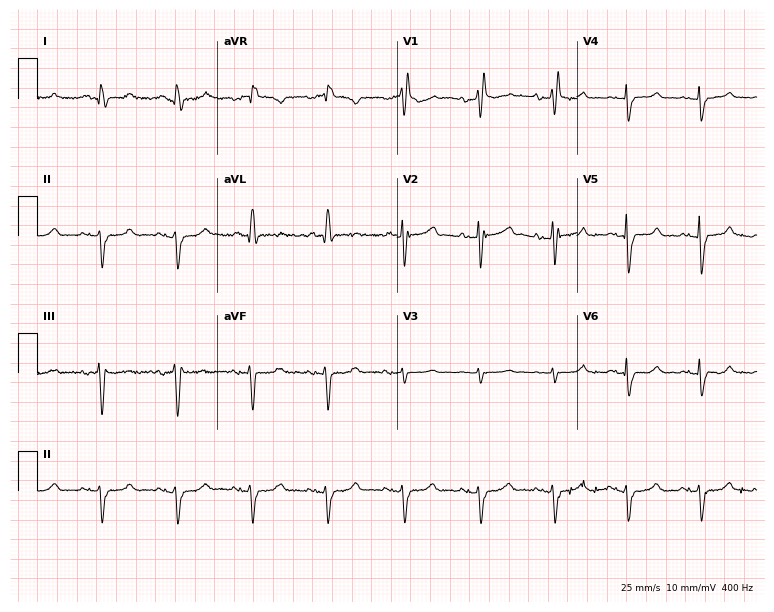
12-lead ECG (7.3-second recording at 400 Hz) from a female, 81 years old. Screened for six findings — first-degree AV block, right bundle branch block, left bundle branch block, sinus bradycardia, atrial fibrillation, sinus tachycardia — none is recorded. Only these six findings were labelled.